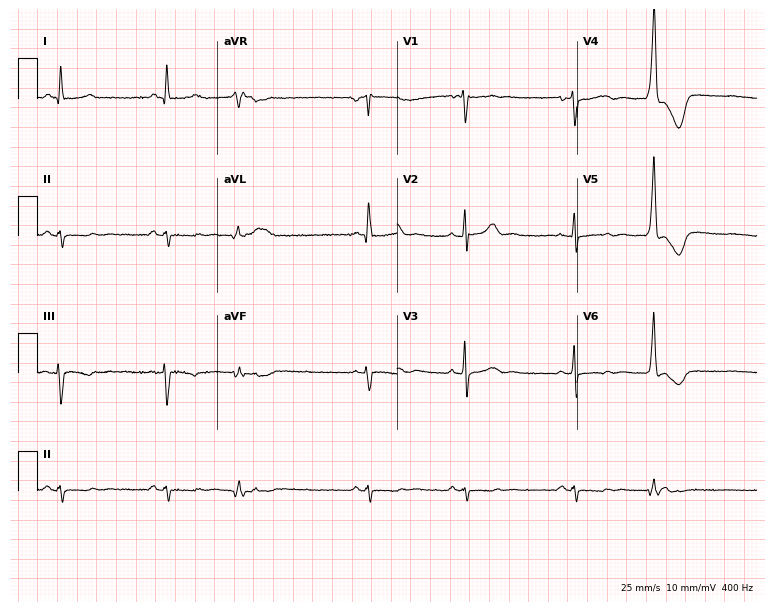
Resting 12-lead electrocardiogram (7.3-second recording at 400 Hz). Patient: a man, 75 years old. None of these six findings is recorded: first-degree AV block, right bundle branch block, left bundle branch block, sinus bradycardia, atrial fibrillation, sinus tachycardia. Only these six findings were labelled.